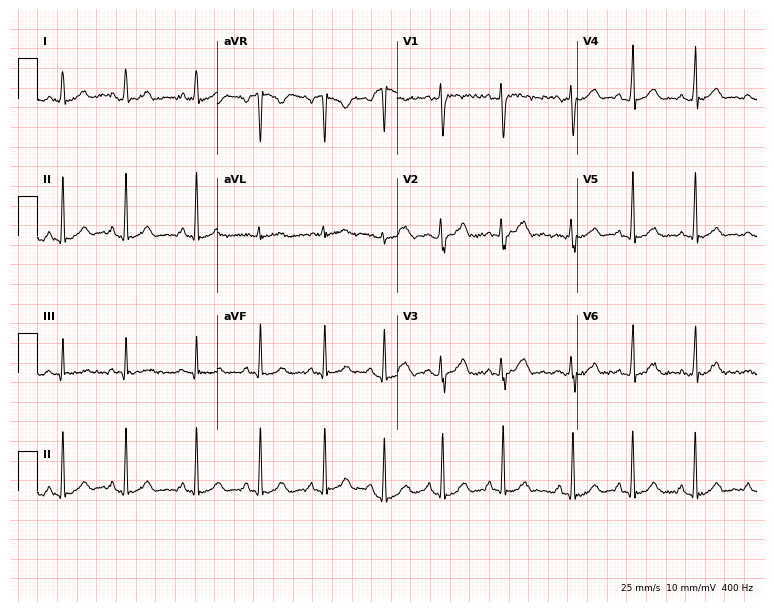
Standard 12-lead ECG recorded from a female patient, 17 years old. Read as a normal ECG.